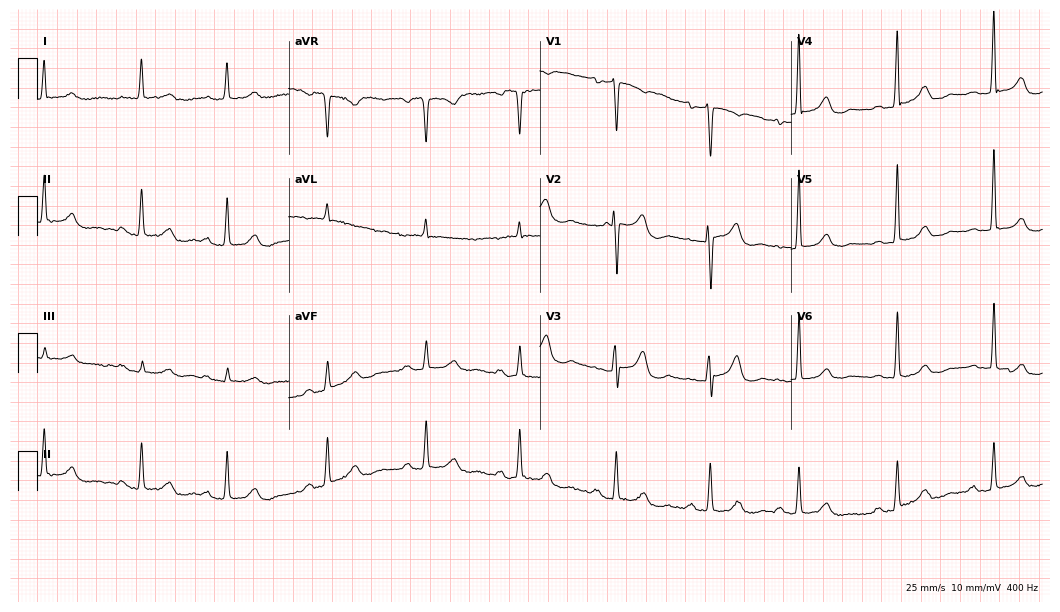
12-lead ECG from a 76-year-old woman. Labelled as a normal ECG.